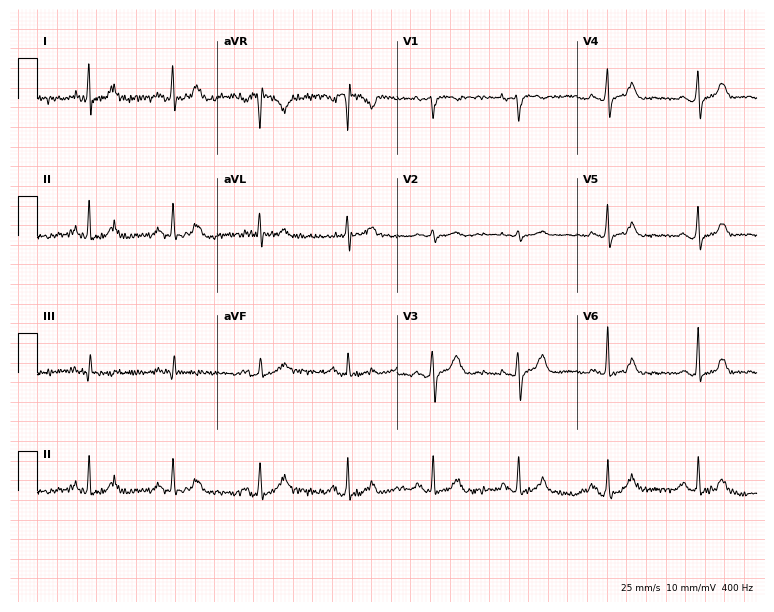
Resting 12-lead electrocardiogram. Patient: a female, 55 years old. None of these six findings is recorded: first-degree AV block, right bundle branch block, left bundle branch block, sinus bradycardia, atrial fibrillation, sinus tachycardia.